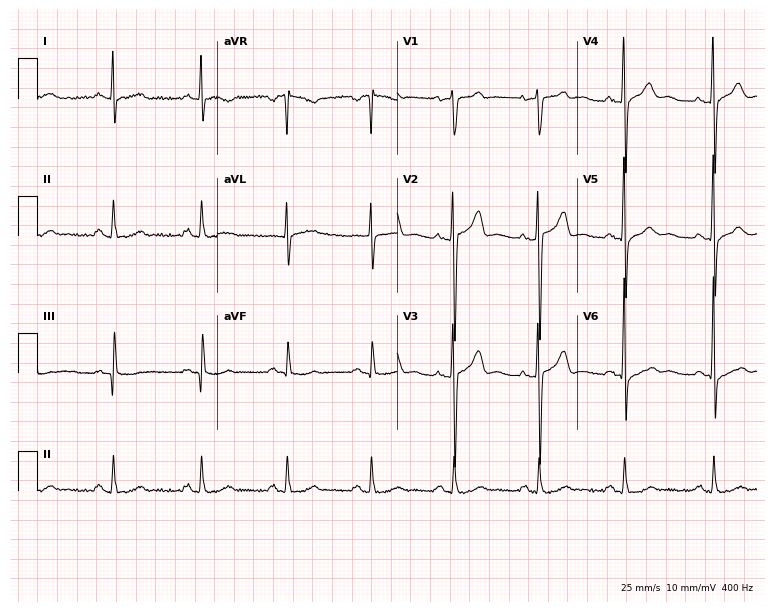
Electrocardiogram (7.3-second recording at 400 Hz), a male, 34 years old. Overall reading on record: normal ECG.